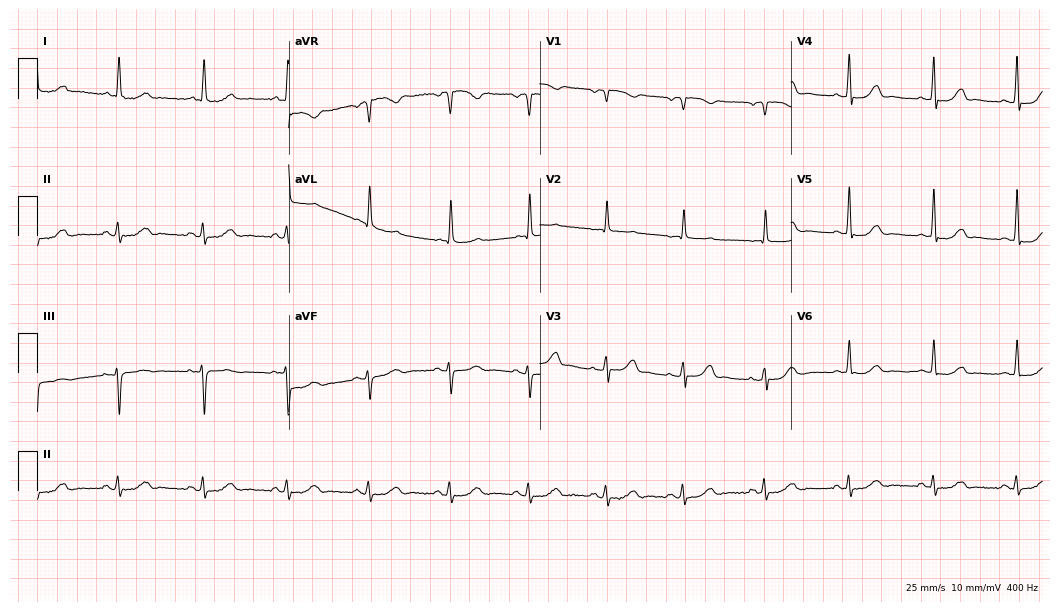
12-lead ECG from a female, 79 years old. Labelled as a normal ECG.